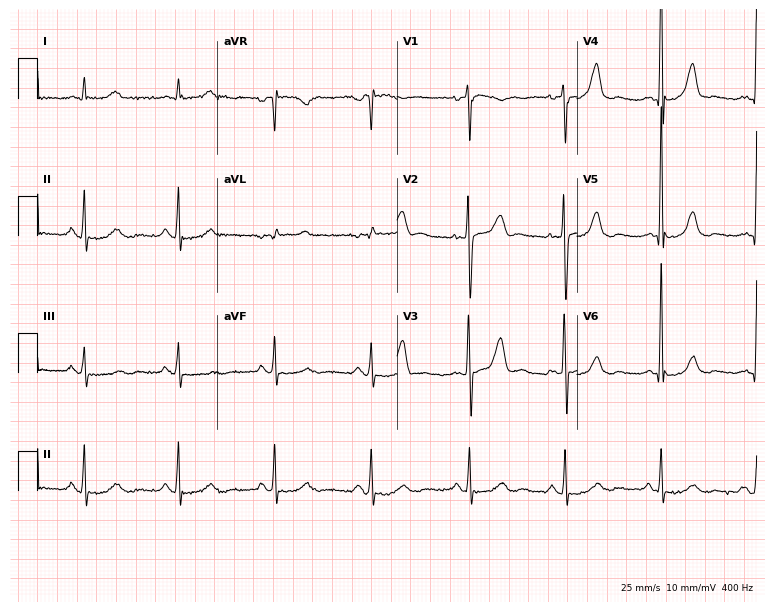
12-lead ECG from a male, 85 years old. No first-degree AV block, right bundle branch block (RBBB), left bundle branch block (LBBB), sinus bradycardia, atrial fibrillation (AF) or sinus tachycardia recorded for this tracing. Only these six findings were labelled.